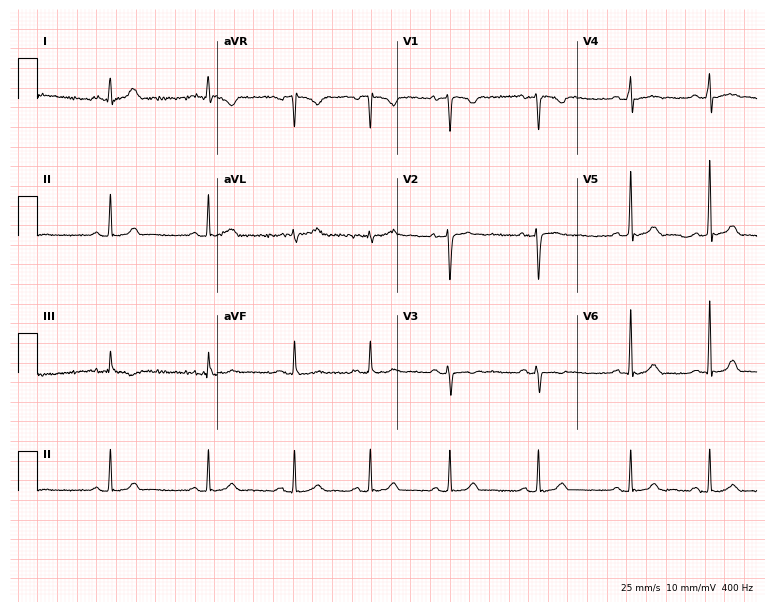
12-lead ECG from a 20-year-old female patient (7.3-second recording at 400 Hz). No first-degree AV block, right bundle branch block (RBBB), left bundle branch block (LBBB), sinus bradycardia, atrial fibrillation (AF) or sinus tachycardia recorded for this tracing.